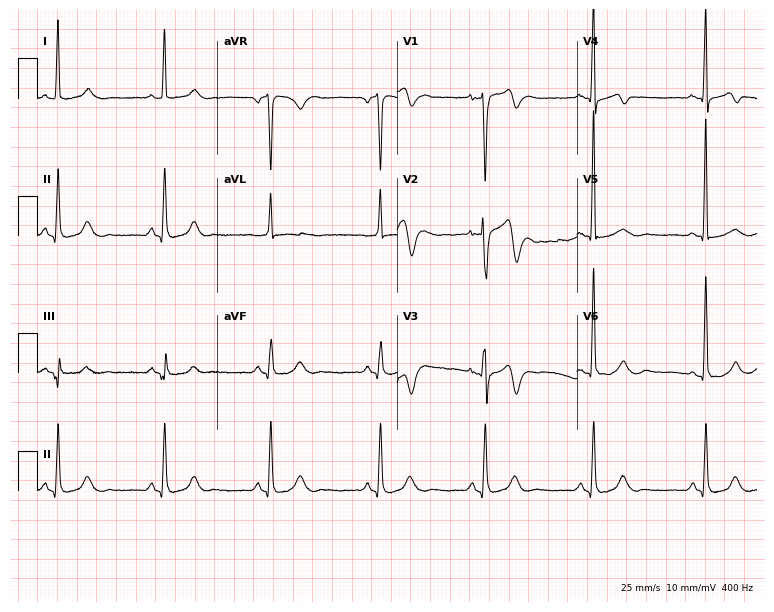
Electrocardiogram, a 77-year-old man. Of the six screened findings (first-degree AV block, right bundle branch block, left bundle branch block, sinus bradycardia, atrial fibrillation, sinus tachycardia), none is recorded.